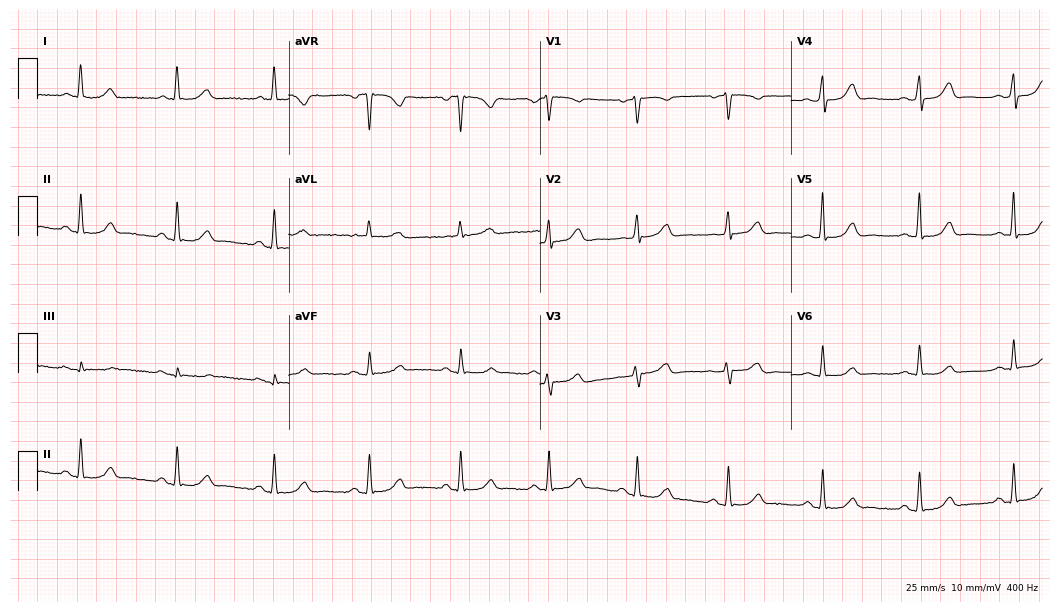
12-lead ECG from a female patient, 64 years old. Recorded interpretation: within normal limits.